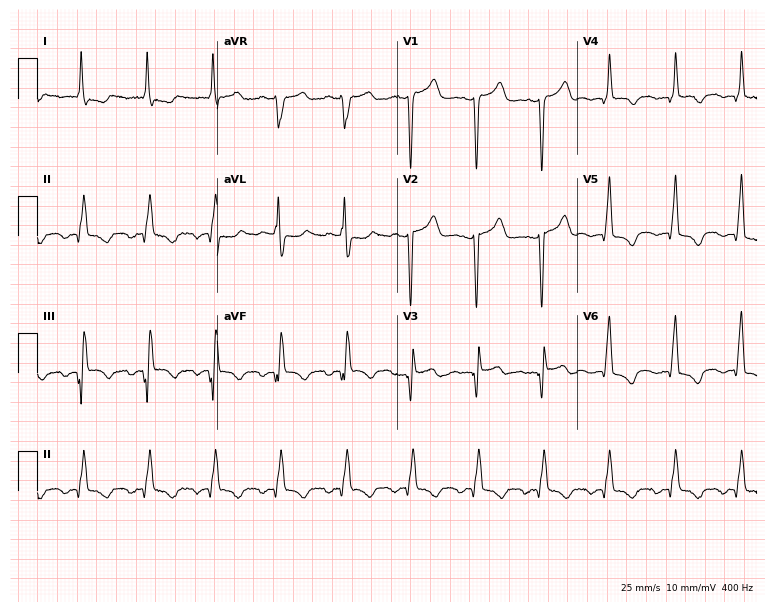
12-lead ECG (7.3-second recording at 400 Hz) from a female, 58 years old. Screened for six findings — first-degree AV block, right bundle branch block, left bundle branch block, sinus bradycardia, atrial fibrillation, sinus tachycardia — none is recorded. Other findings, if any, are not listed.